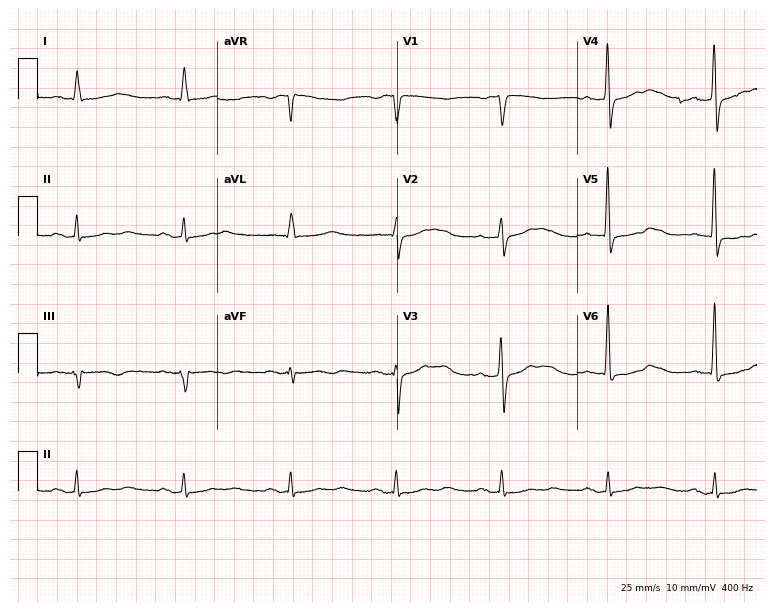
Resting 12-lead electrocardiogram (7.3-second recording at 400 Hz). Patient: a male, 77 years old. None of these six findings is recorded: first-degree AV block, right bundle branch block, left bundle branch block, sinus bradycardia, atrial fibrillation, sinus tachycardia.